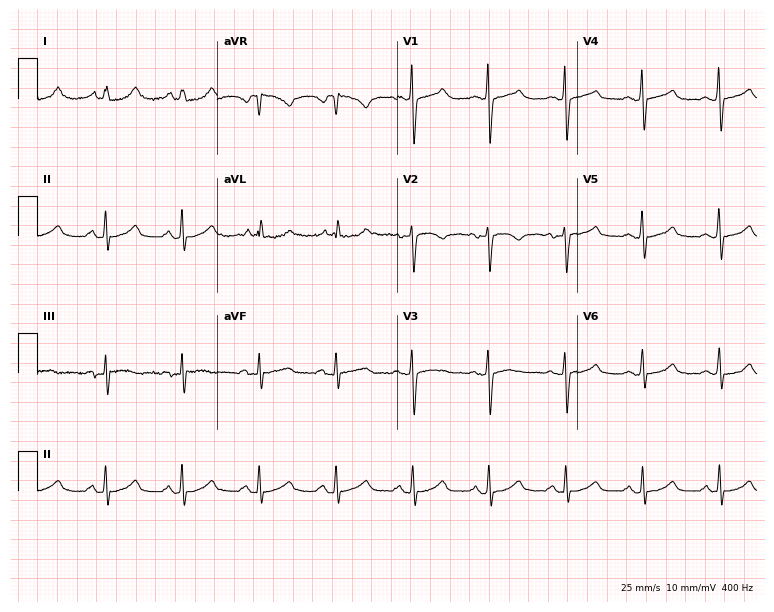
Standard 12-lead ECG recorded from a 66-year-old female patient. Read as a normal ECG.